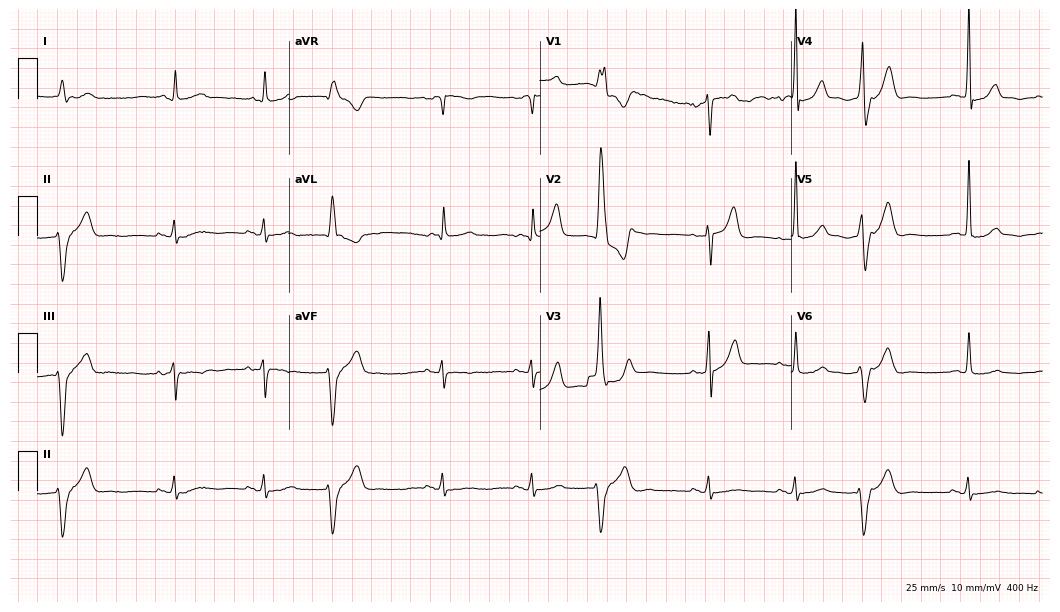
Standard 12-lead ECG recorded from a man, 84 years old (10.2-second recording at 400 Hz). None of these six findings is recorded: first-degree AV block, right bundle branch block (RBBB), left bundle branch block (LBBB), sinus bradycardia, atrial fibrillation (AF), sinus tachycardia.